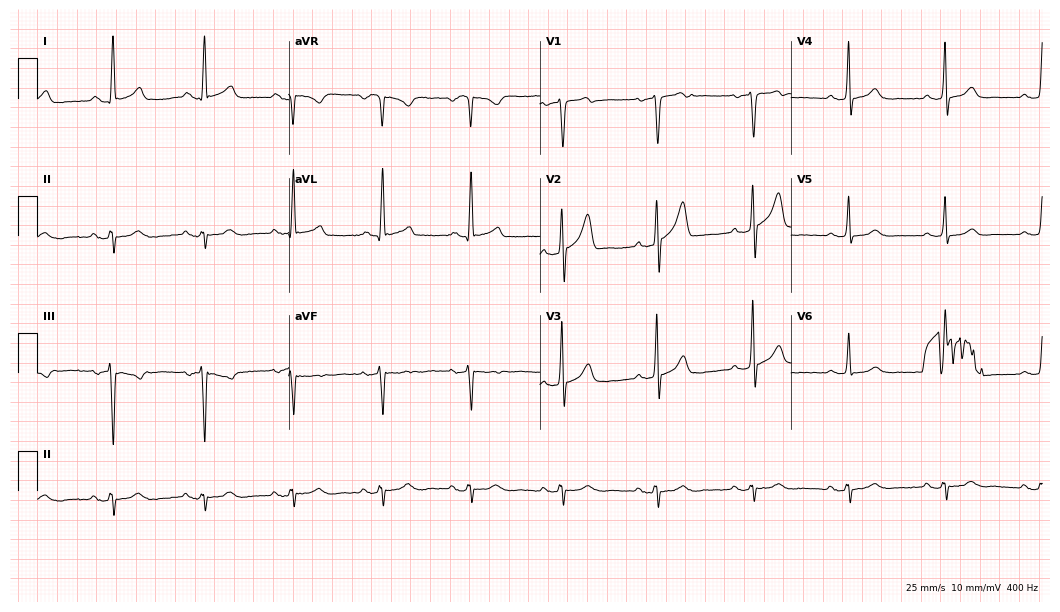
12-lead ECG from a 48-year-old male. No first-degree AV block, right bundle branch block, left bundle branch block, sinus bradycardia, atrial fibrillation or sinus tachycardia recorded for this tracing.